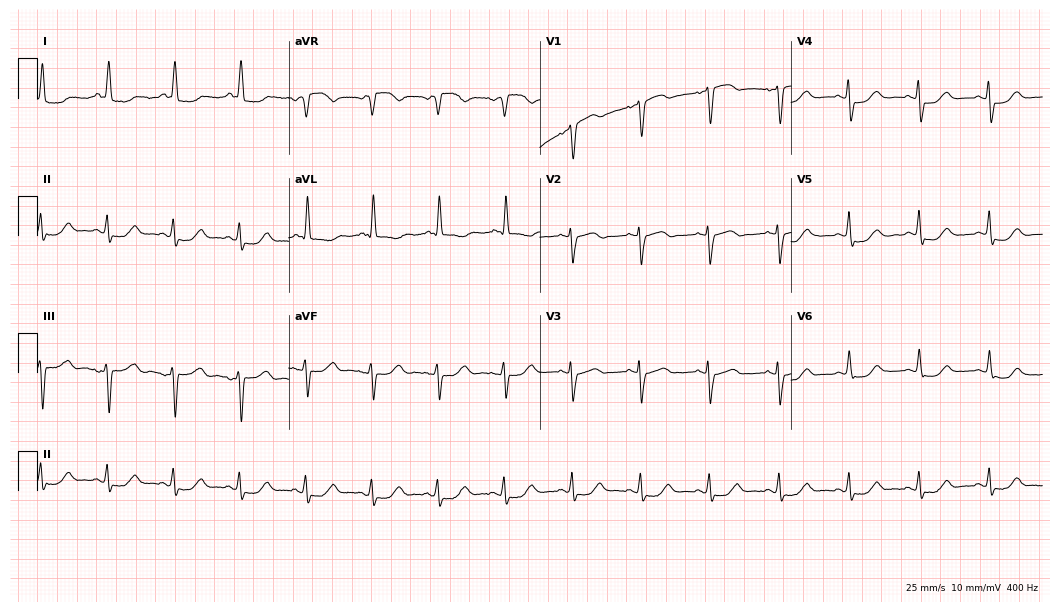
Resting 12-lead electrocardiogram (10.2-second recording at 400 Hz). Patient: a woman, 63 years old. None of these six findings is recorded: first-degree AV block, right bundle branch block, left bundle branch block, sinus bradycardia, atrial fibrillation, sinus tachycardia.